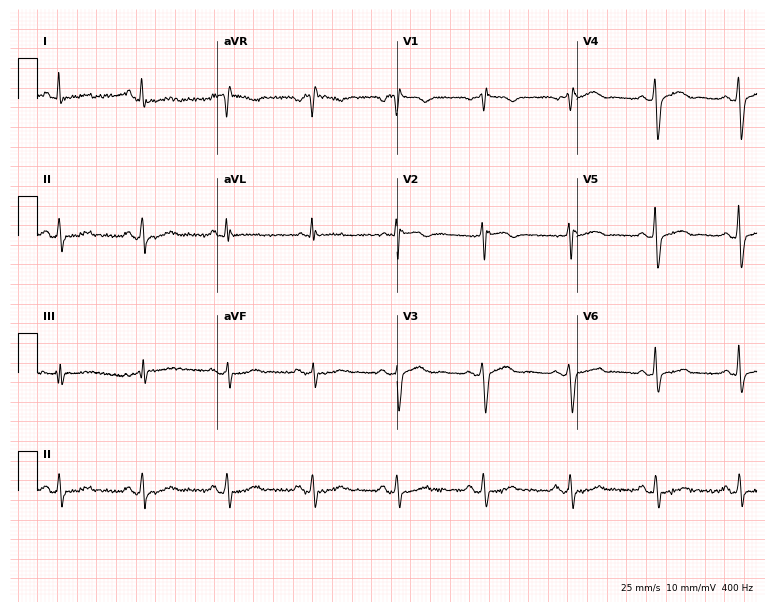
ECG — a 64-year-old female. Screened for six findings — first-degree AV block, right bundle branch block, left bundle branch block, sinus bradycardia, atrial fibrillation, sinus tachycardia — none is recorded. Only these six findings were labelled.